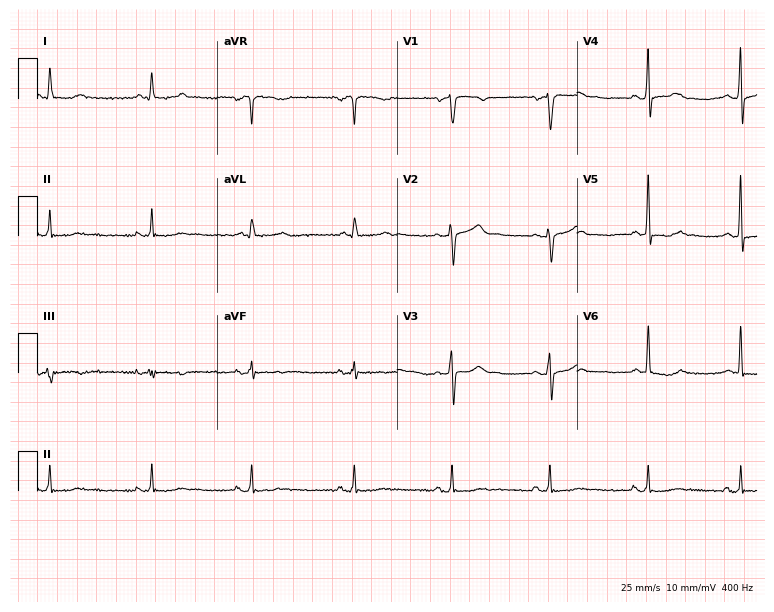
Standard 12-lead ECG recorded from a 70-year-old male patient. Read as a normal ECG.